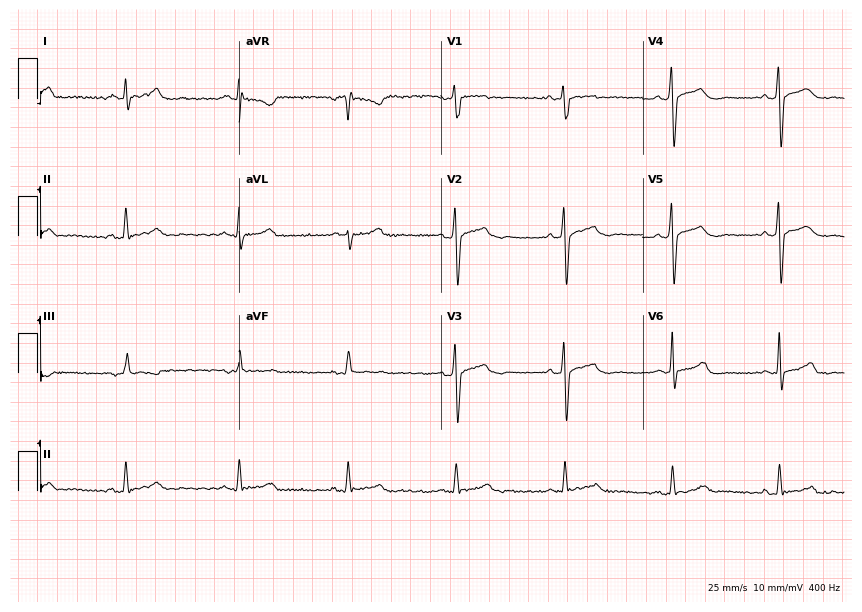
ECG — a 31-year-old female patient. Screened for six findings — first-degree AV block, right bundle branch block, left bundle branch block, sinus bradycardia, atrial fibrillation, sinus tachycardia — none is recorded.